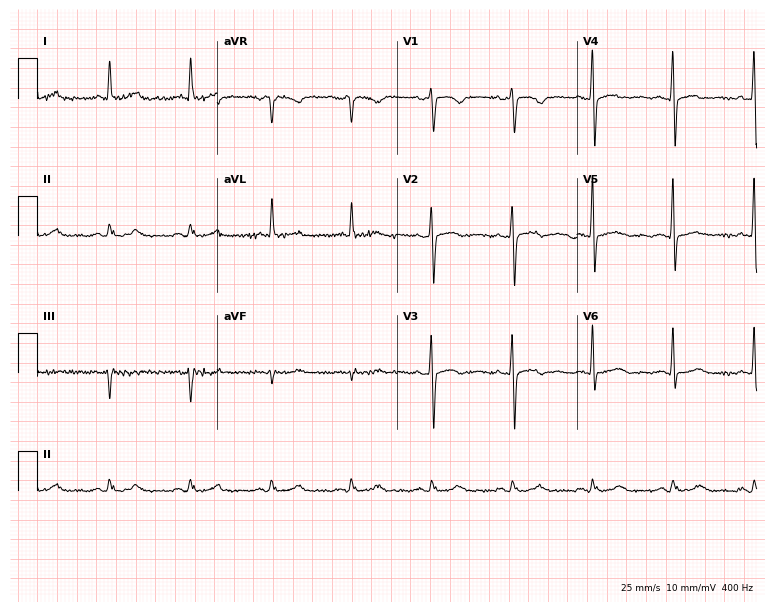
Standard 12-lead ECG recorded from a 64-year-old female (7.3-second recording at 400 Hz). Read as a normal ECG.